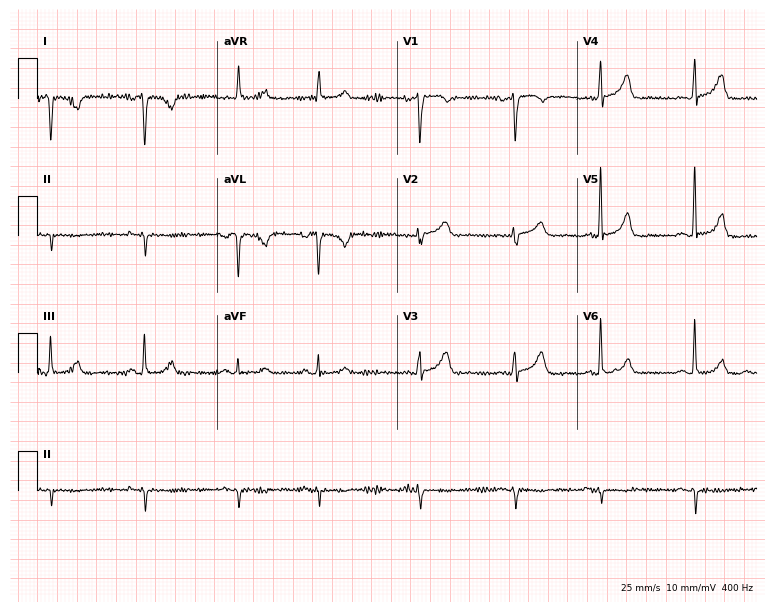
12-lead ECG (7.3-second recording at 400 Hz) from a woman, 66 years old. Screened for six findings — first-degree AV block, right bundle branch block, left bundle branch block, sinus bradycardia, atrial fibrillation, sinus tachycardia — none is recorded. Other findings, if any, are not listed.